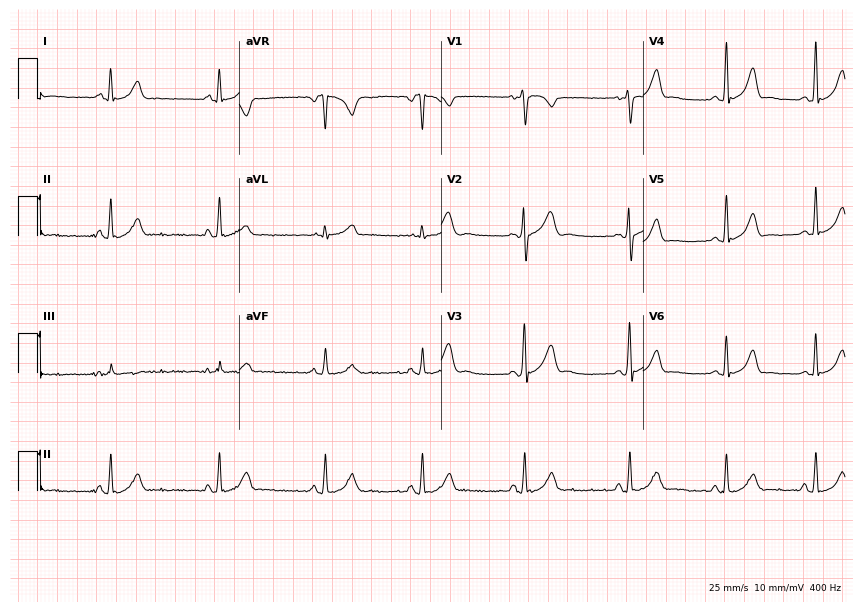
12-lead ECG (8.2-second recording at 400 Hz) from an 18-year-old female. Labelled as a normal ECG.